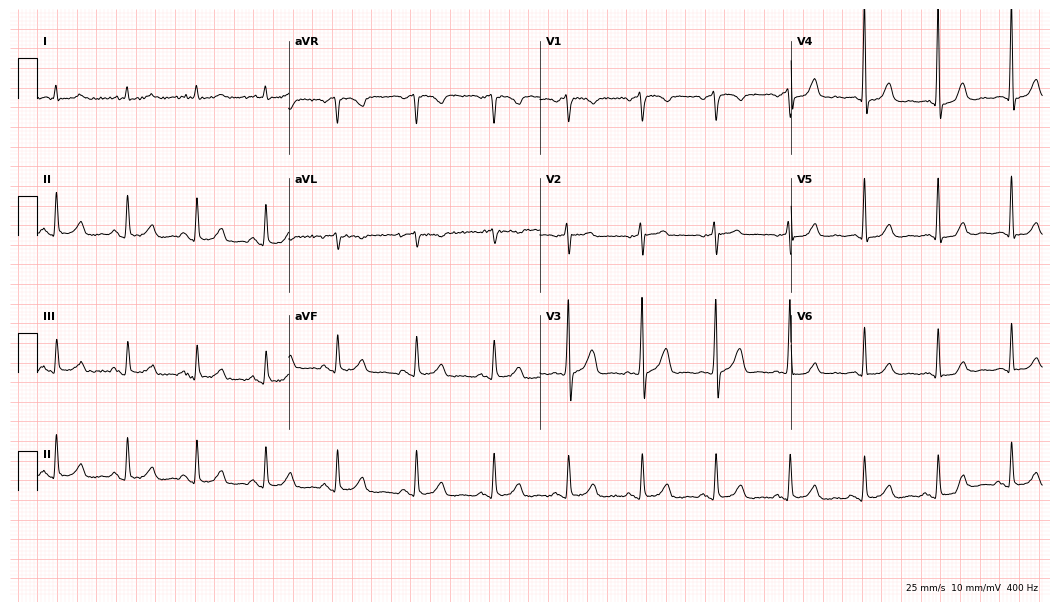
Standard 12-lead ECG recorded from a man, 56 years old (10.2-second recording at 400 Hz). None of these six findings is recorded: first-degree AV block, right bundle branch block, left bundle branch block, sinus bradycardia, atrial fibrillation, sinus tachycardia.